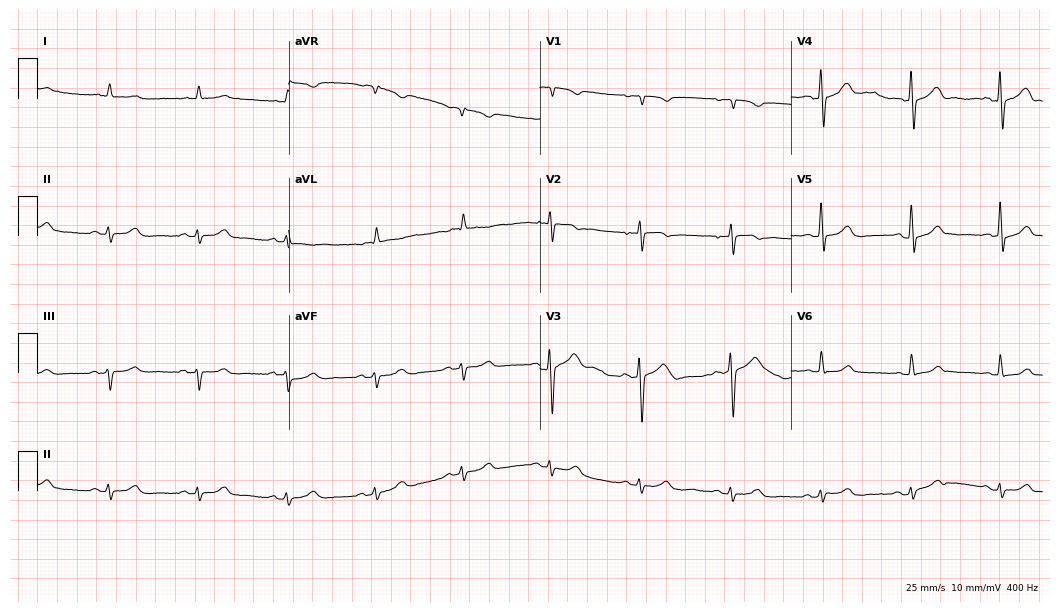
Electrocardiogram (10.2-second recording at 400 Hz), a man, 76 years old. Of the six screened findings (first-degree AV block, right bundle branch block, left bundle branch block, sinus bradycardia, atrial fibrillation, sinus tachycardia), none is recorded.